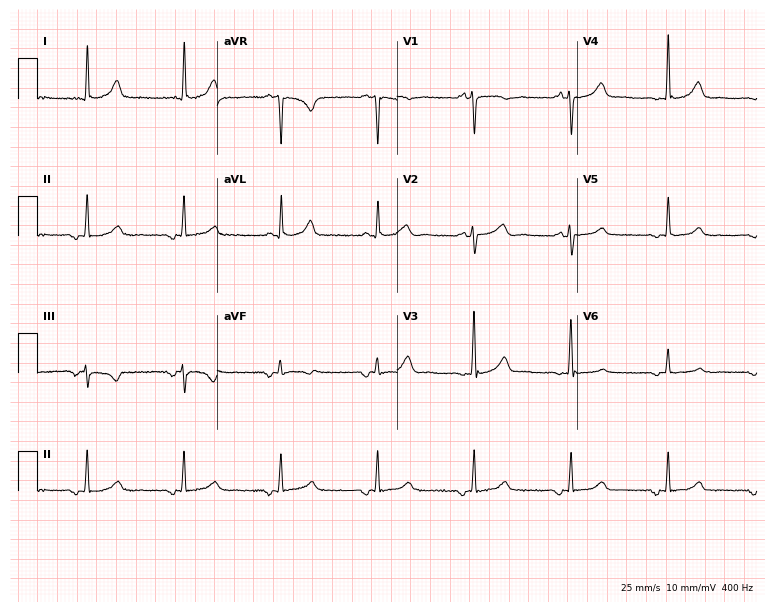
Resting 12-lead electrocardiogram (7.3-second recording at 400 Hz). Patient: a female, 64 years old. None of these six findings is recorded: first-degree AV block, right bundle branch block, left bundle branch block, sinus bradycardia, atrial fibrillation, sinus tachycardia. Findings outside these six are not listed.